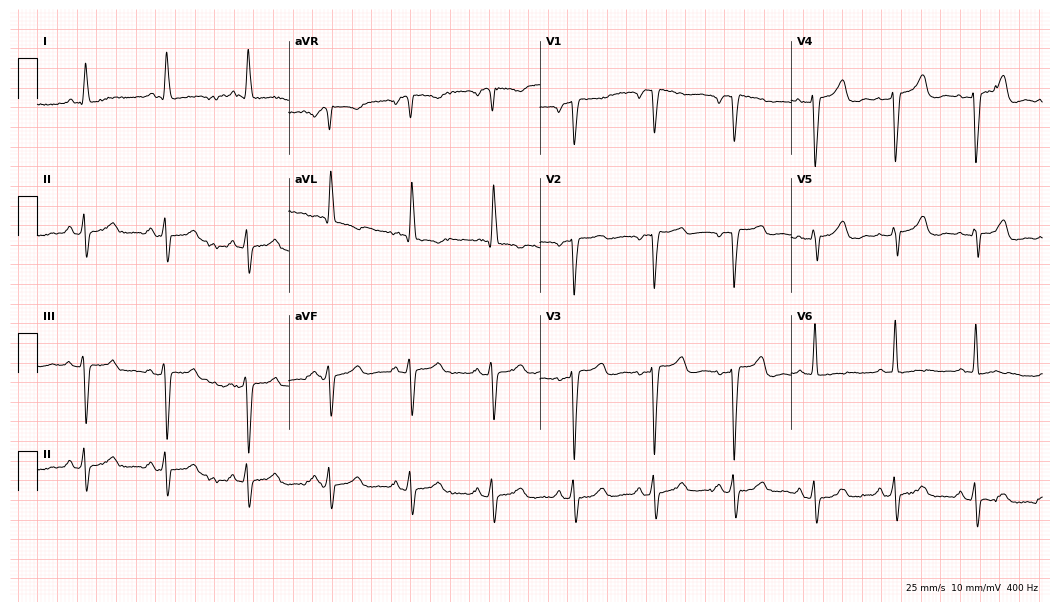
Resting 12-lead electrocardiogram (10.2-second recording at 400 Hz). Patient: a 70-year-old female. None of these six findings is recorded: first-degree AV block, right bundle branch block (RBBB), left bundle branch block (LBBB), sinus bradycardia, atrial fibrillation (AF), sinus tachycardia.